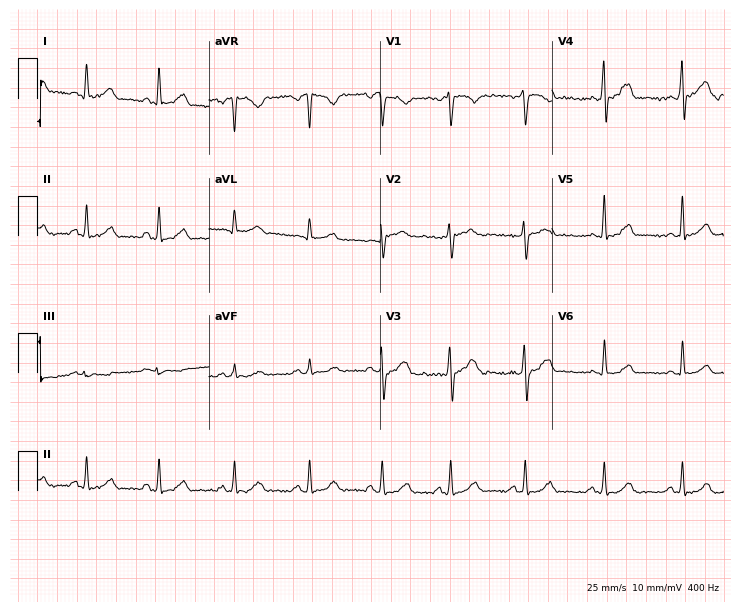
Electrocardiogram (7-second recording at 400 Hz), a female, 33 years old. Of the six screened findings (first-degree AV block, right bundle branch block, left bundle branch block, sinus bradycardia, atrial fibrillation, sinus tachycardia), none is recorded. Findings outside these six are not listed.